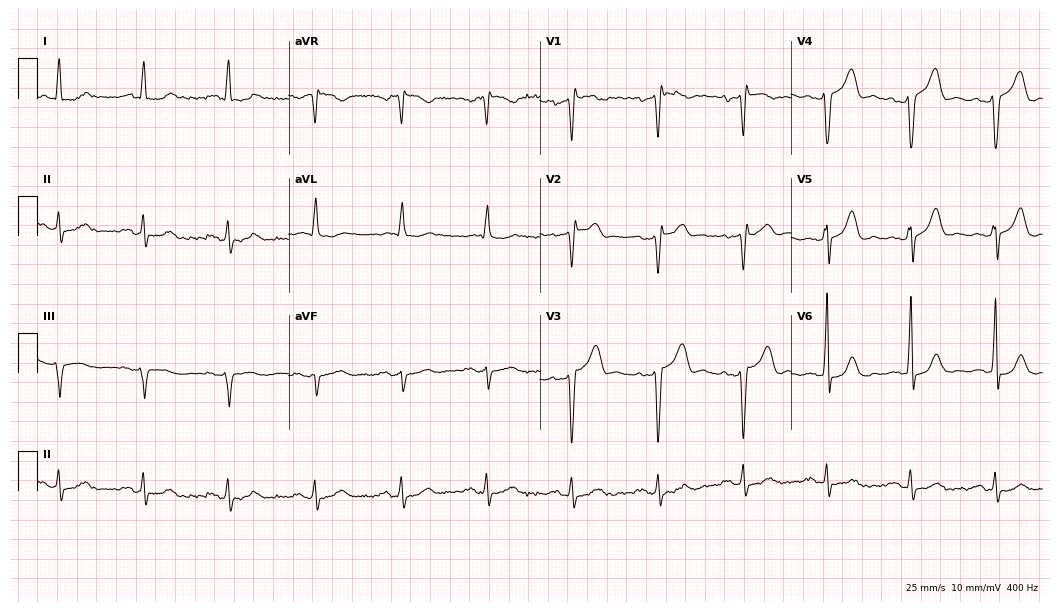
12-lead ECG (10.2-second recording at 400 Hz) from a male patient, 53 years old. Screened for six findings — first-degree AV block, right bundle branch block, left bundle branch block, sinus bradycardia, atrial fibrillation, sinus tachycardia — none is recorded. Other findings, if any, are not listed.